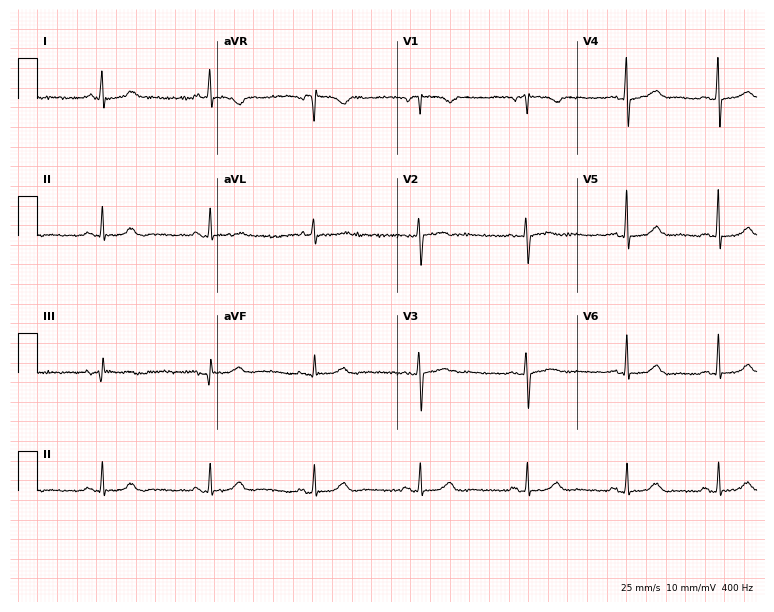
ECG — a 49-year-old female patient. Screened for six findings — first-degree AV block, right bundle branch block, left bundle branch block, sinus bradycardia, atrial fibrillation, sinus tachycardia — none is recorded.